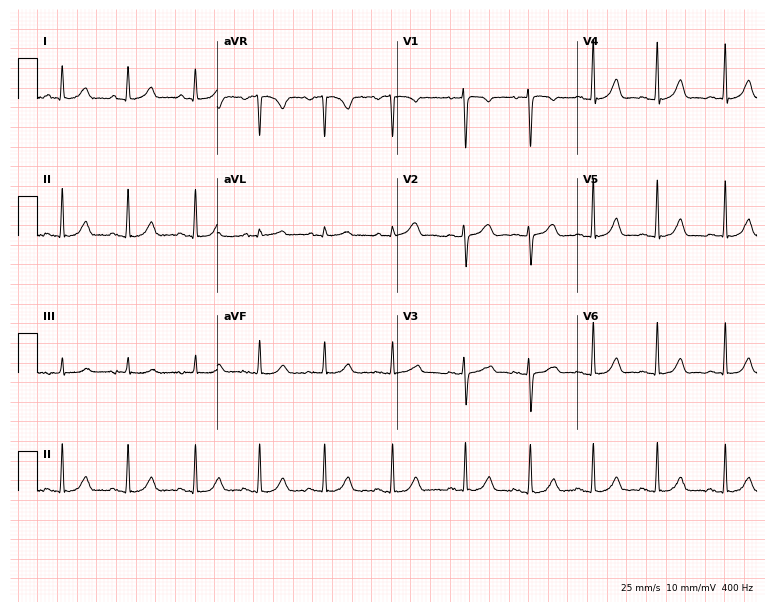
Electrocardiogram (7.3-second recording at 400 Hz), a female, 31 years old. Overall reading on record: normal ECG.